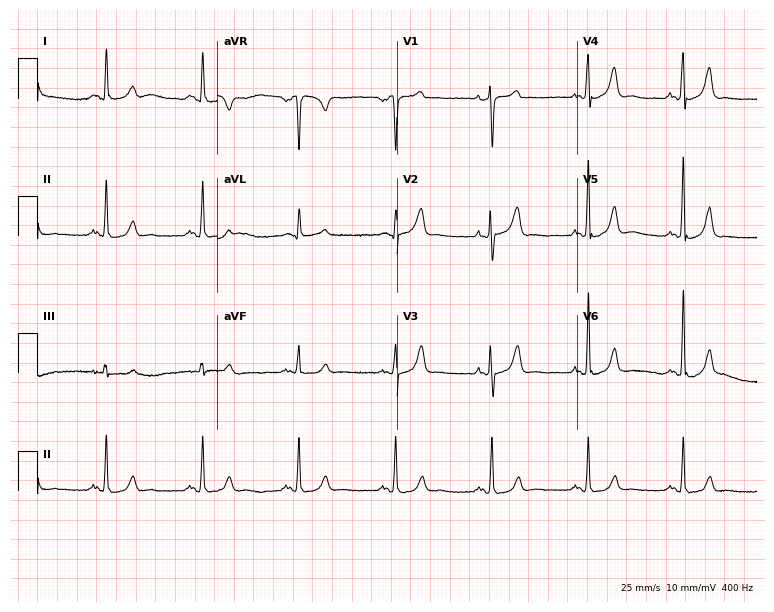
Standard 12-lead ECG recorded from a 69-year-old woman (7.3-second recording at 400 Hz). Read as a normal ECG.